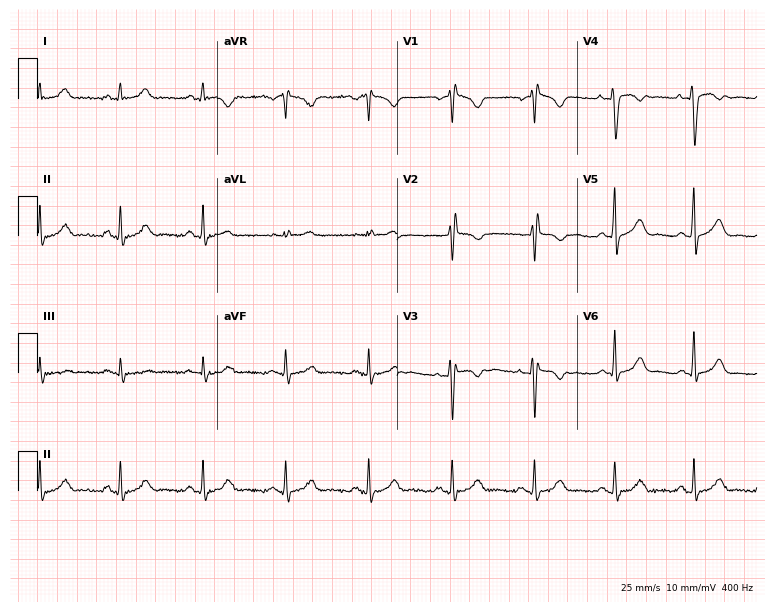
Electrocardiogram, a female patient, 30 years old. Of the six screened findings (first-degree AV block, right bundle branch block (RBBB), left bundle branch block (LBBB), sinus bradycardia, atrial fibrillation (AF), sinus tachycardia), none is recorded. Findings outside these six are not listed.